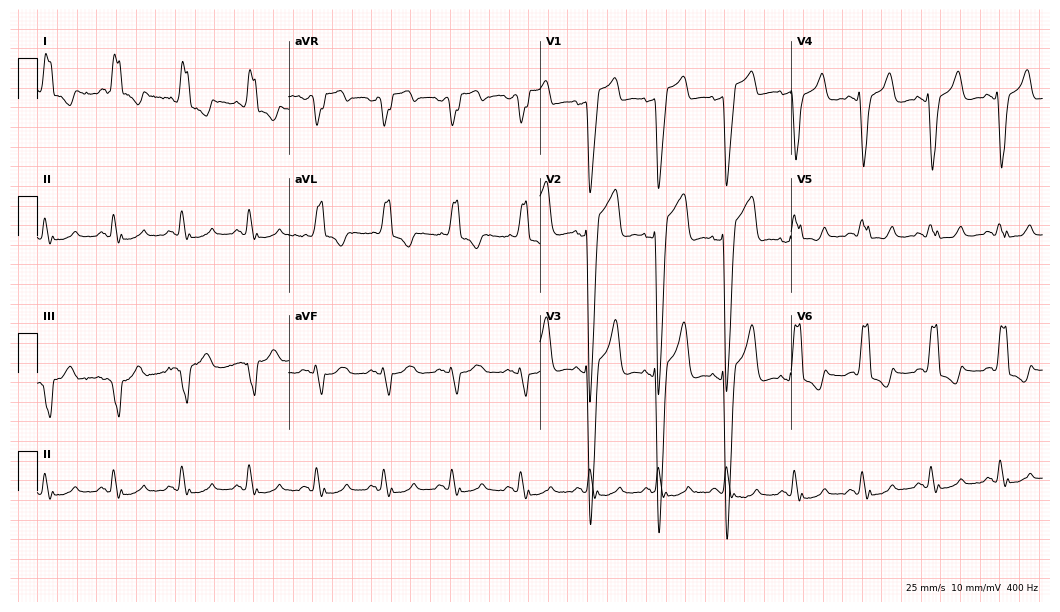
Resting 12-lead electrocardiogram. Patient: a male, 66 years old. The tracing shows left bundle branch block.